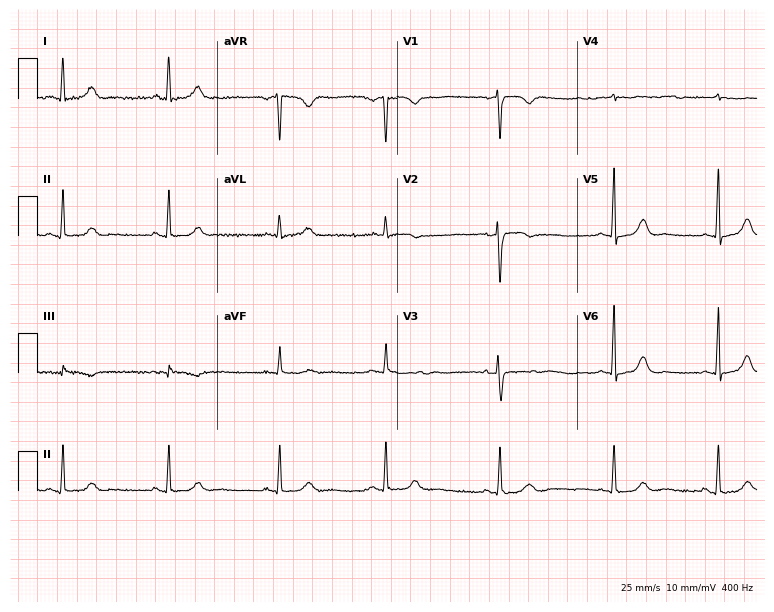
ECG (7.3-second recording at 400 Hz) — a 43-year-old female. Screened for six findings — first-degree AV block, right bundle branch block, left bundle branch block, sinus bradycardia, atrial fibrillation, sinus tachycardia — none is recorded.